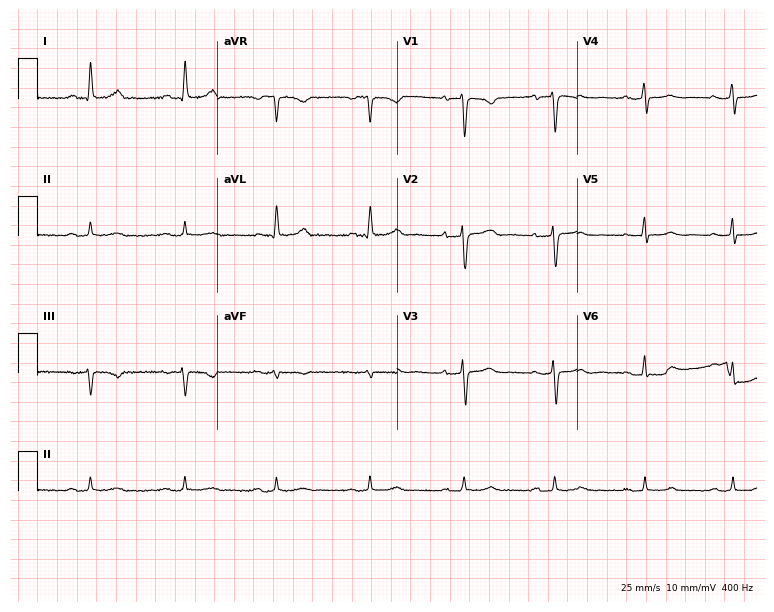
Resting 12-lead electrocardiogram. Patient: a female, 50 years old. None of these six findings is recorded: first-degree AV block, right bundle branch block, left bundle branch block, sinus bradycardia, atrial fibrillation, sinus tachycardia. Other findings, if any, are not listed.